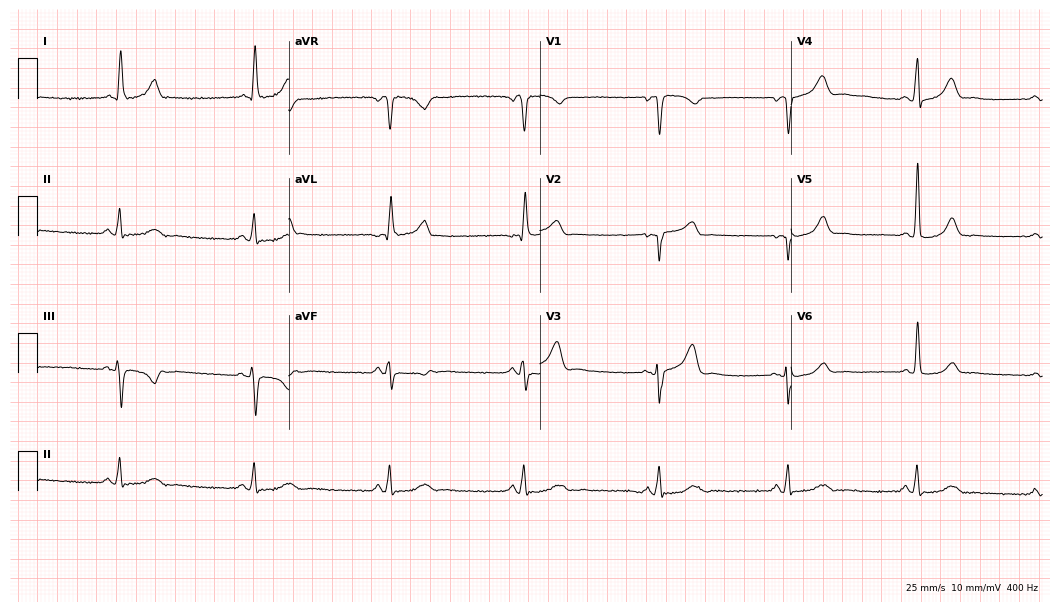
12-lead ECG from a female, 56 years old. Findings include sinus bradycardia (a sinus rate of 50 beats per minute or less).